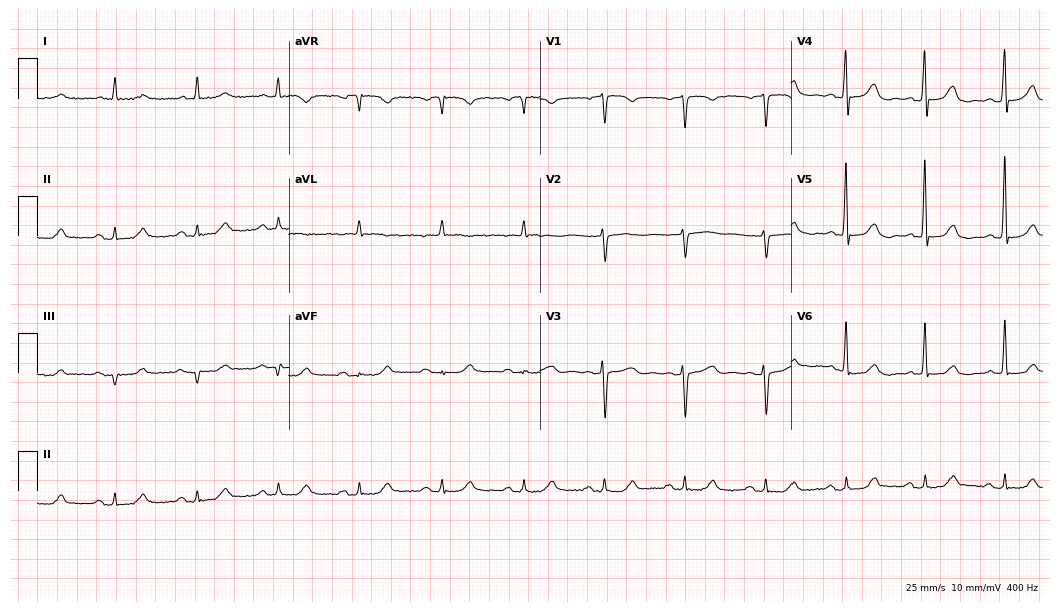
12-lead ECG (10.2-second recording at 400 Hz) from a female, 77 years old. Labelled as a normal ECG.